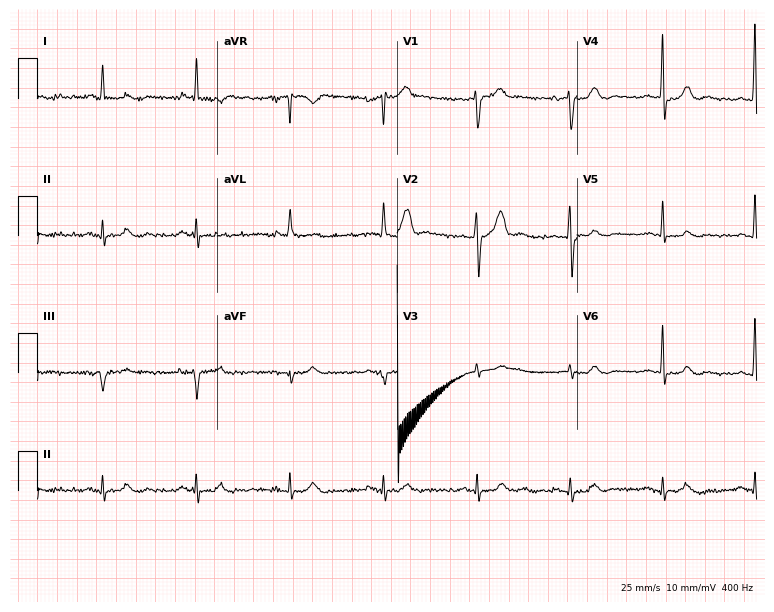
12-lead ECG from an 84-year-old male. Recorded interpretation: within normal limits.